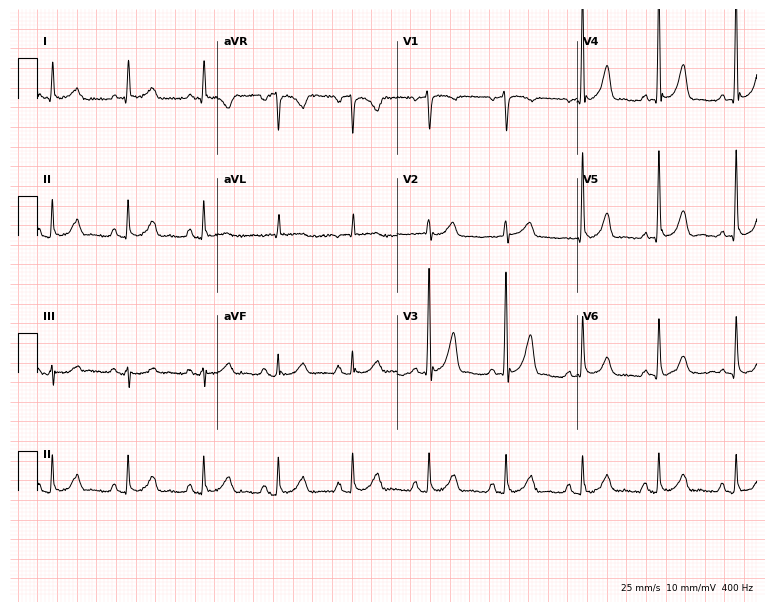
12-lead ECG from a 67-year-old male patient. Screened for six findings — first-degree AV block, right bundle branch block (RBBB), left bundle branch block (LBBB), sinus bradycardia, atrial fibrillation (AF), sinus tachycardia — none is recorded. Other findings, if any, are not listed.